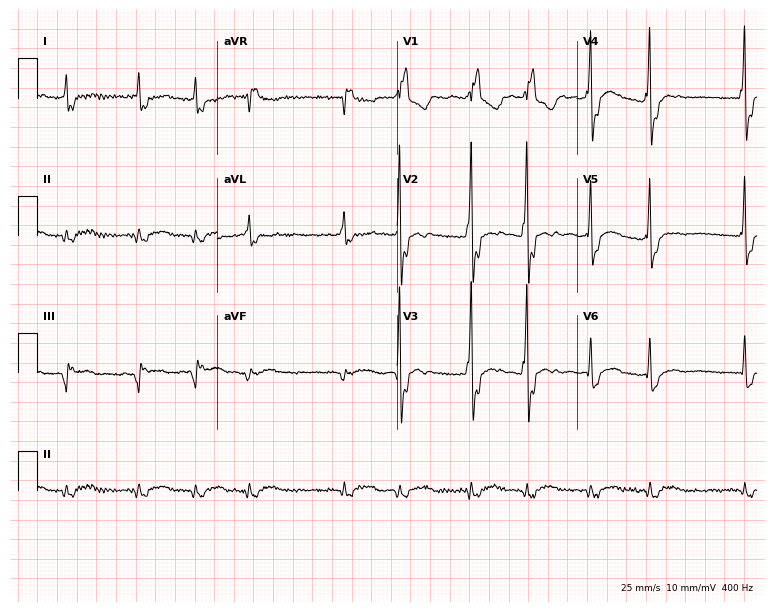
Standard 12-lead ECG recorded from a male, 81 years old (7.3-second recording at 400 Hz). The tracing shows right bundle branch block, atrial fibrillation.